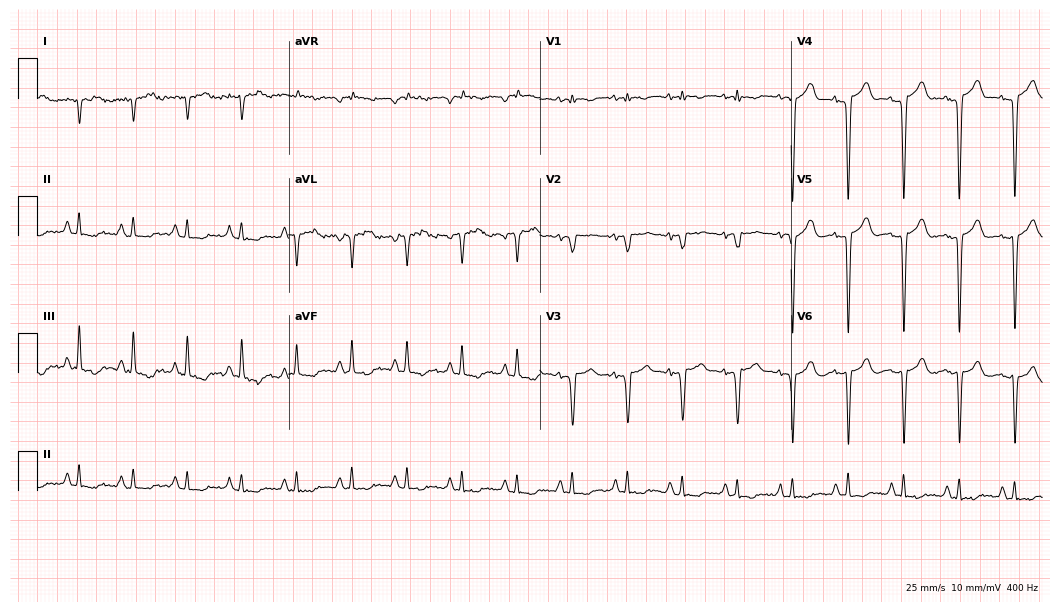
12-lead ECG from a 45-year-old female. Screened for six findings — first-degree AV block, right bundle branch block (RBBB), left bundle branch block (LBBB), sinus bradycardia, atrial fibrillation (AF), sinus tachycardia — none is recorded. Findings outside these six are not listed.